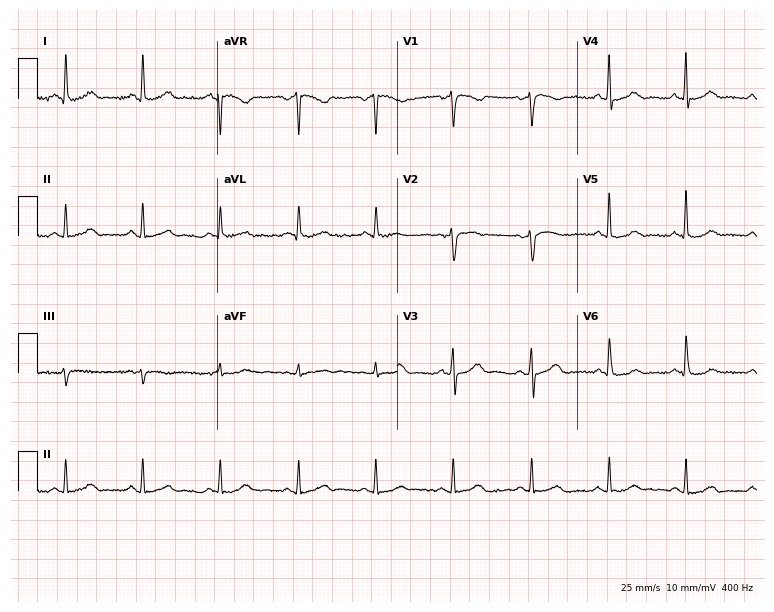
Resting 12-lead electrocardiogram (7.3-second recording at 400 Hz). Patient: a female, 58 years old. Read as a normal ECG.